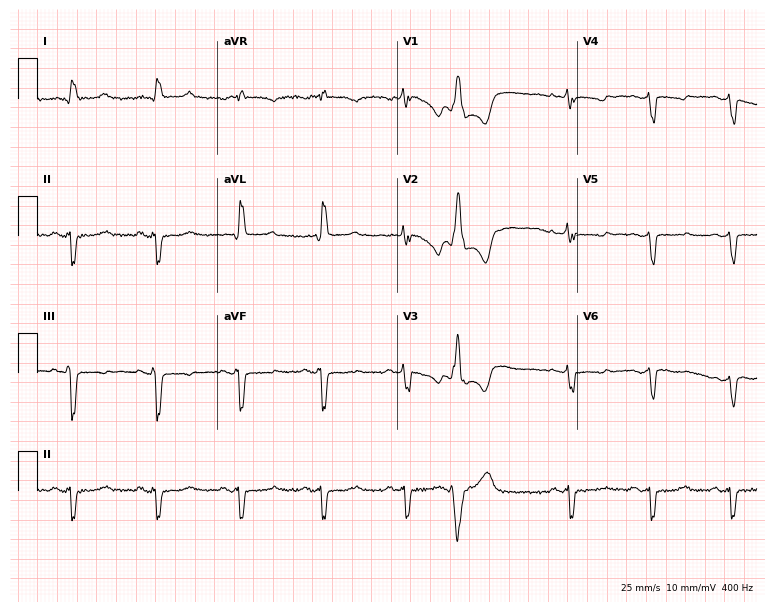
12-lead ECG (7.3-second recording at 400 Hz) from a female patient, 56 years old. Screened for six findings — first-degree AV block, right bundle branch block, left bundle branch block, sinus bradycardia, atrial fibrillation, sinus tachycardia — none is recorded.